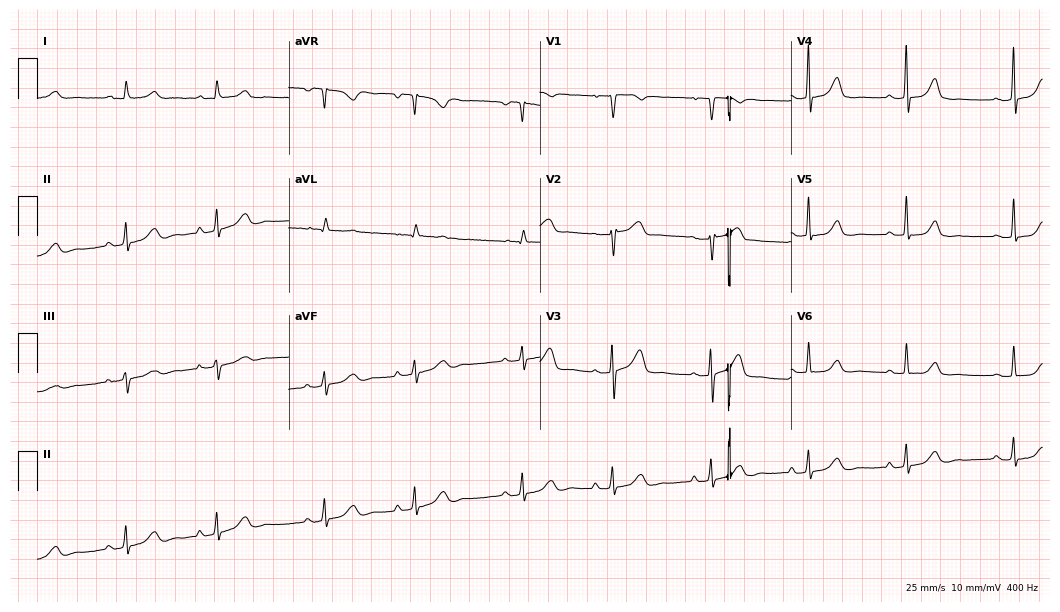
12-lead ECG from a female patient, 57 years old. Recorded interpretation: within normal limits.